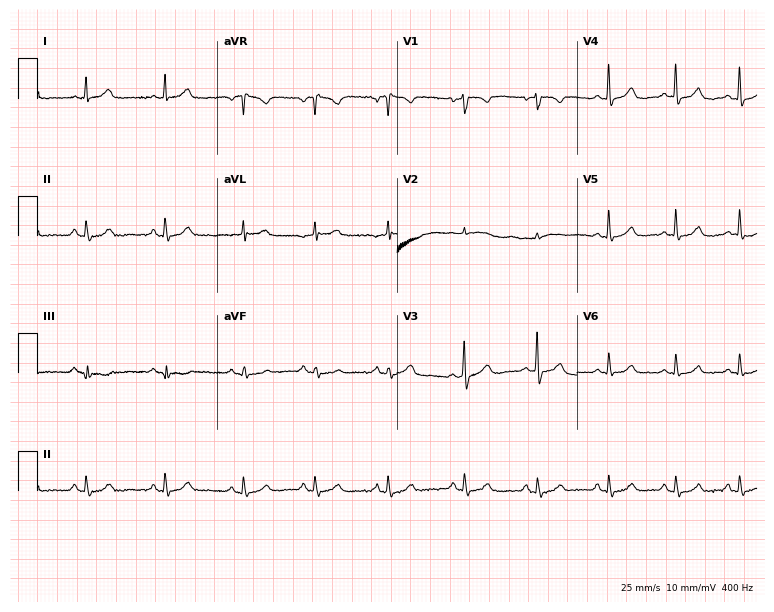
Resting 12-lead electrocardiogram. Patient: a 35-year-old female. Read as a normal ECG.